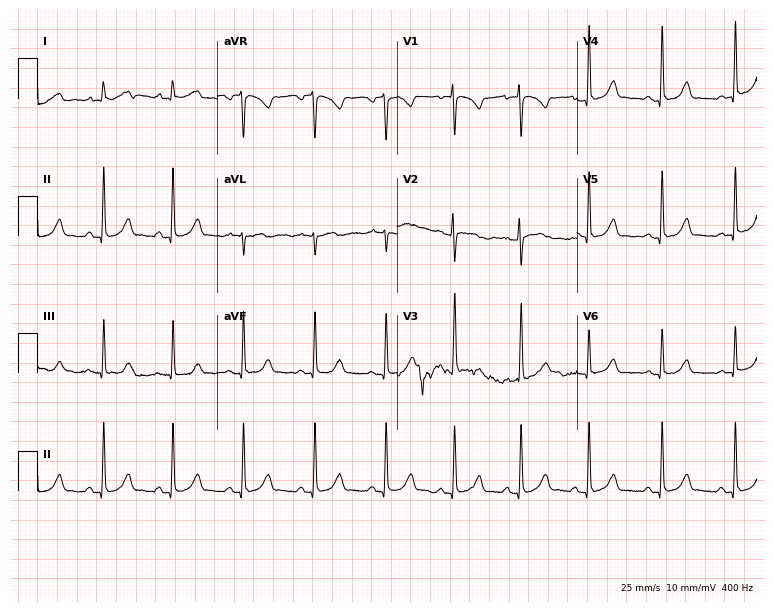
Resting 12-lead electrocardiogram. Patient: a 23-year-old female. Read as a normal ECG.